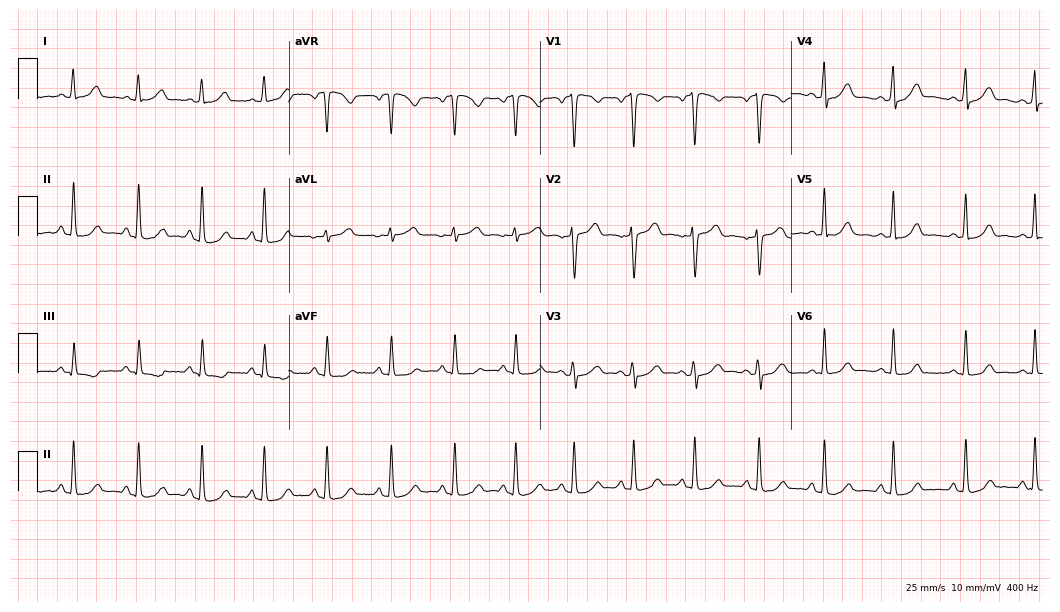
12-lead ECG from a 38-year-old female. Recorded interpretation: within normal limits.